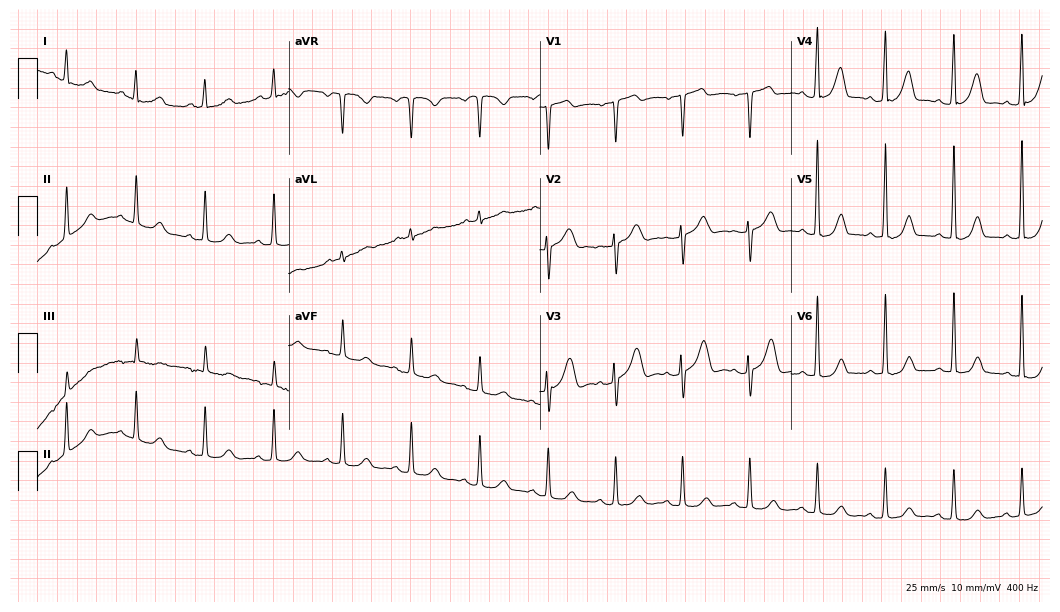
Resting 12-lead electrocardiogram. Patient: a 45-year-old female. Read as a normal ECG.